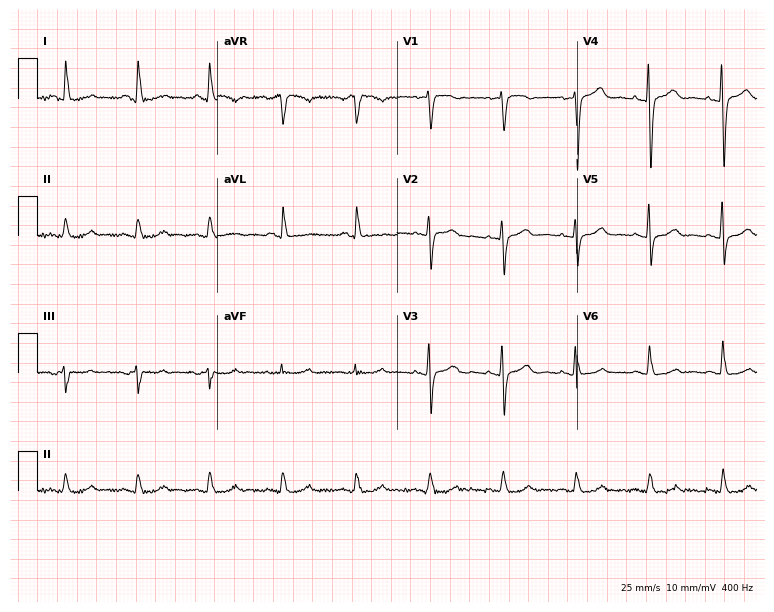
Standard 12-lead ECG recorded from a woman, 61 years old (7.3-second recording at 400 Hz). None of these six findings is recorded: first-degree AV block, right bundle branch block, left bundle branch block, sinus bradycardia, atrial fibrillation, sinus tachycardia.